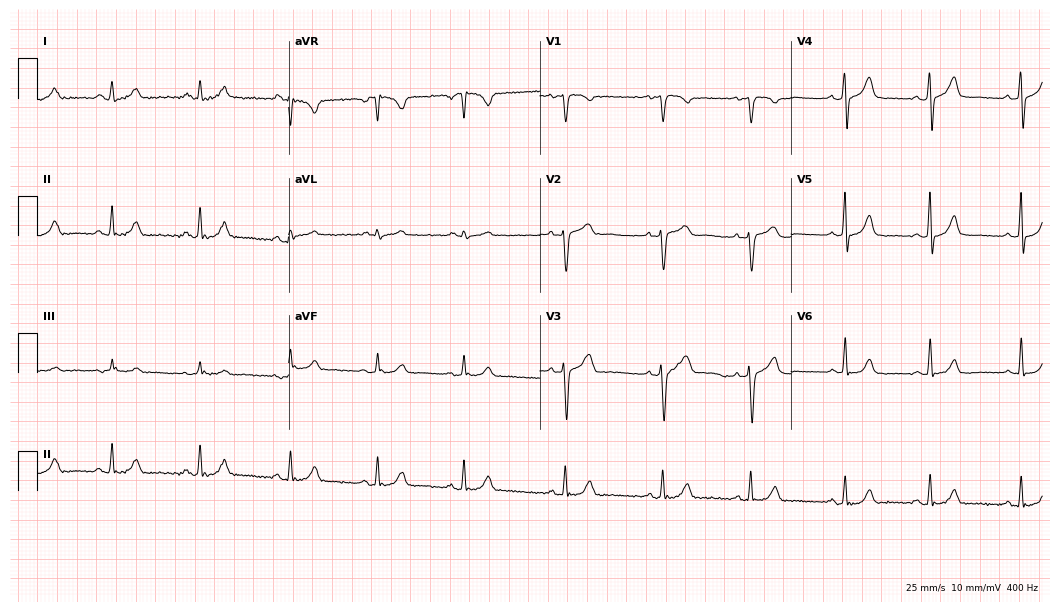
Resting 12-lead electrocardiogram. Patient: a 24-year-old female. Read as a normal ECG.